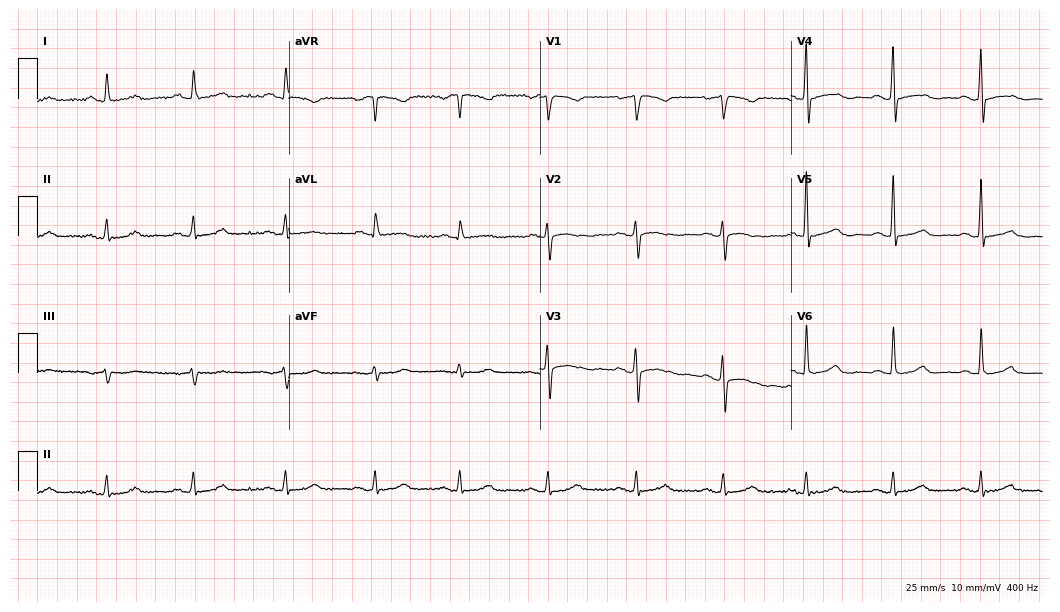
Resting 12-lead electrocardiogram. Patient: a 61-year-old female. None of these six findings is recorded: first-degree AV block, right bundle branch block, left bundle branch block, sinus bradycardia, atrial fibrillation, sinus tachycardia. Only these six findings were labelled.